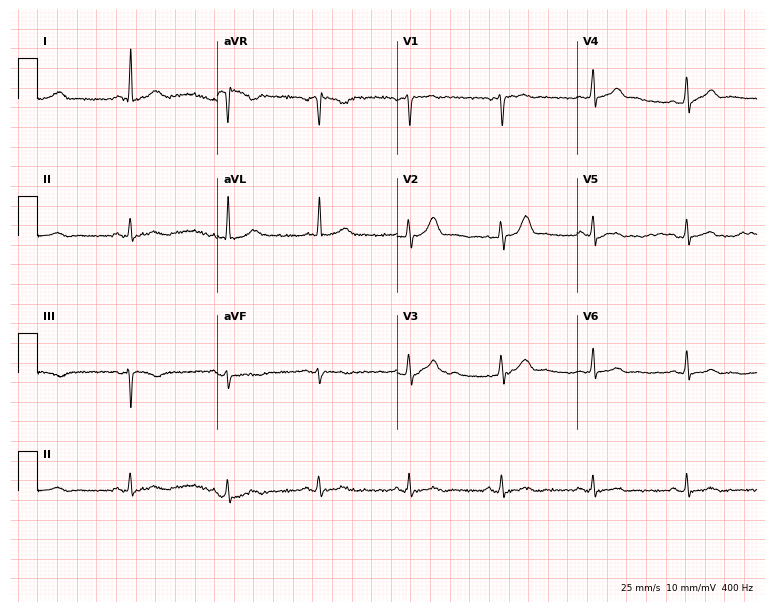
12-lead ECG from a man, 47 years old (7.3-second recording at 400 Hz). No first-degree AV block, right bundle branch block, left bundle branch block, sinus bradycardia, atrial fibrillation or sinus tachycardia recorded for this tracing. Only these six findings were labelled.